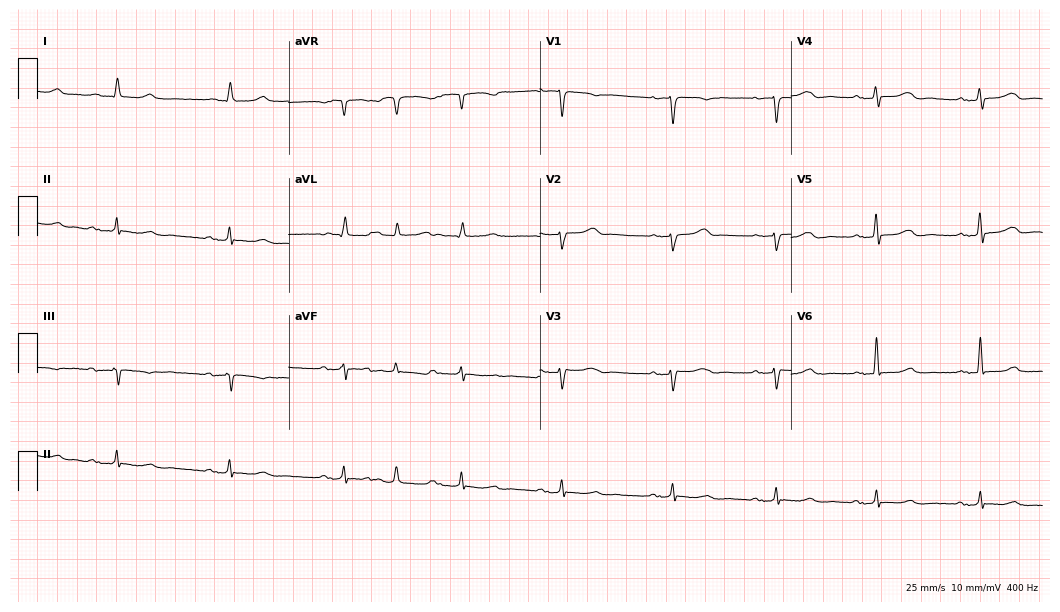
12-lead ECG from a female patient, 56 years old (10.2-second recording at 400 Hz). No first-degree AV block, right bundle branch block, left bundle branch block, sinus bradycardia, atrial fibrillation or sinus tachycardia recorded for this tracing. Other findings, if any, are not listed.